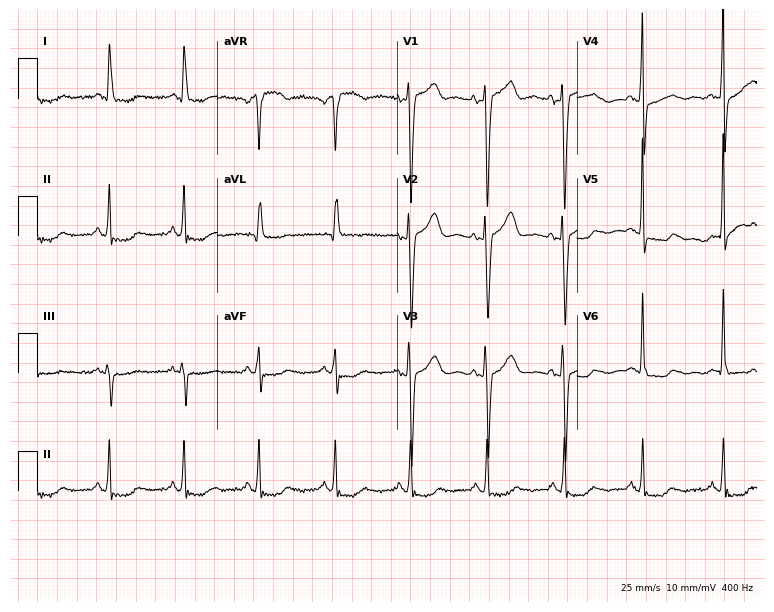
ECG (7.3-second recording at 400 Hz) — a female patient, 60 years old. Screened for six findings — first-degree AV block, right bundle branch block, left bundle branch block, sinus bradycardia, atrial fibrillation, sinus tachycardia — none is recorded.